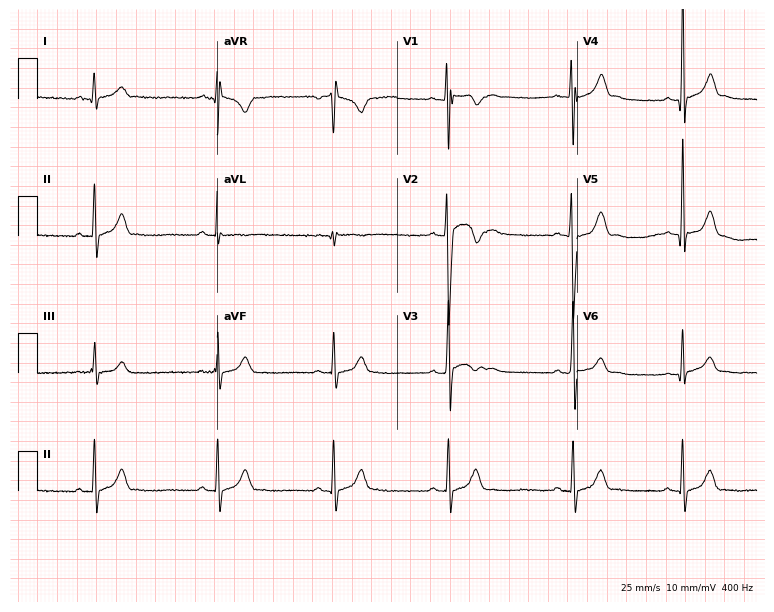
Standard 12-lead ECG recorded from an 18-year-old man (7.3-second recording at 400 Hz). Read as a normal ECG.